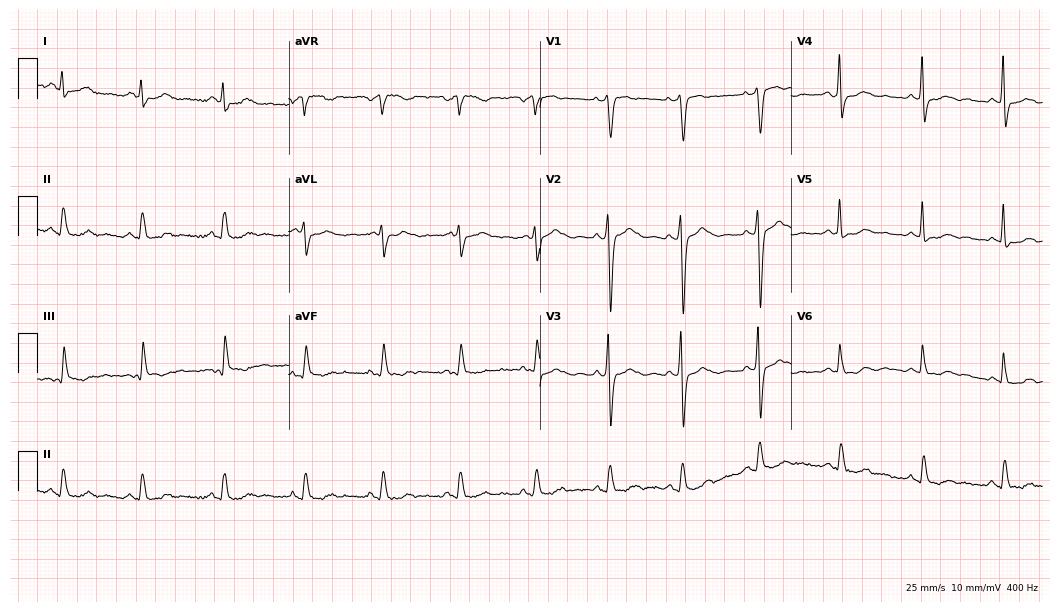
Electrocardiogram (10.2-second recording at 400 Hz), a 43-year-old woman. Of the six screened findings (first-degree AV block, right bundle branch block (RBBB), left bundle branch block (LBBB), sinus bradycardia, atrial fibrillation (AF), sinus tachycardia), none is recorded. Other findings, if any, are not listed.